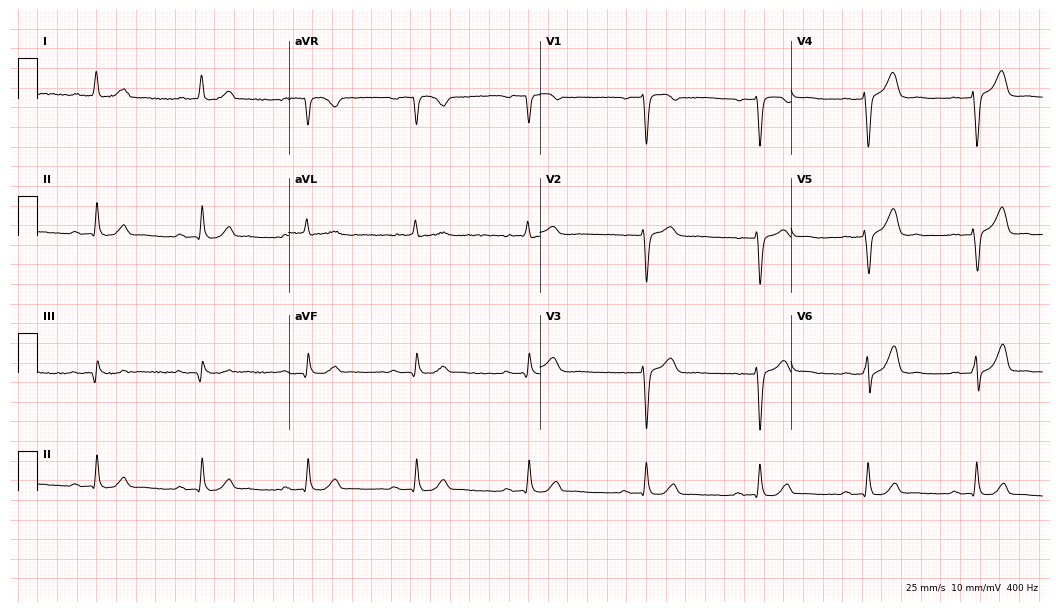
Standard 12-lead ECG recorded from a 78-year-old man. The tracing shows first-degree AV block.